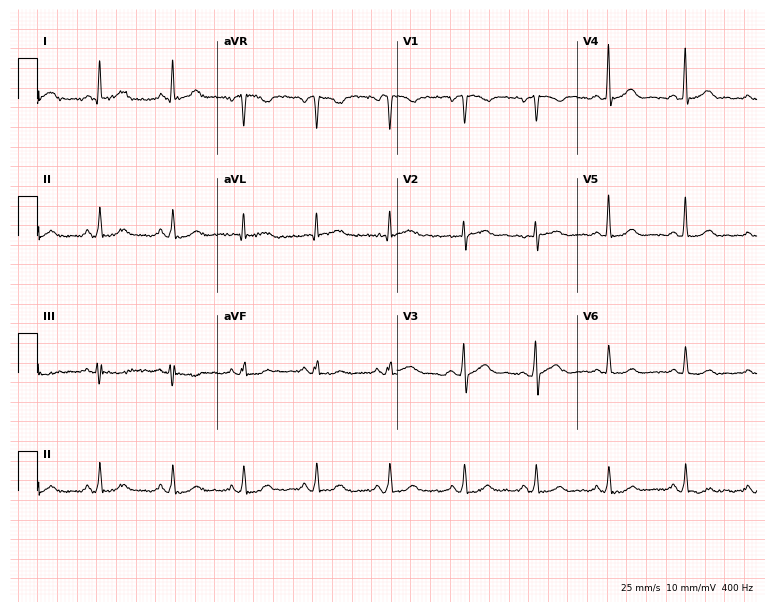
Electrocardiogram, a 57-year-old female. Overall reading on record: normal ECG.